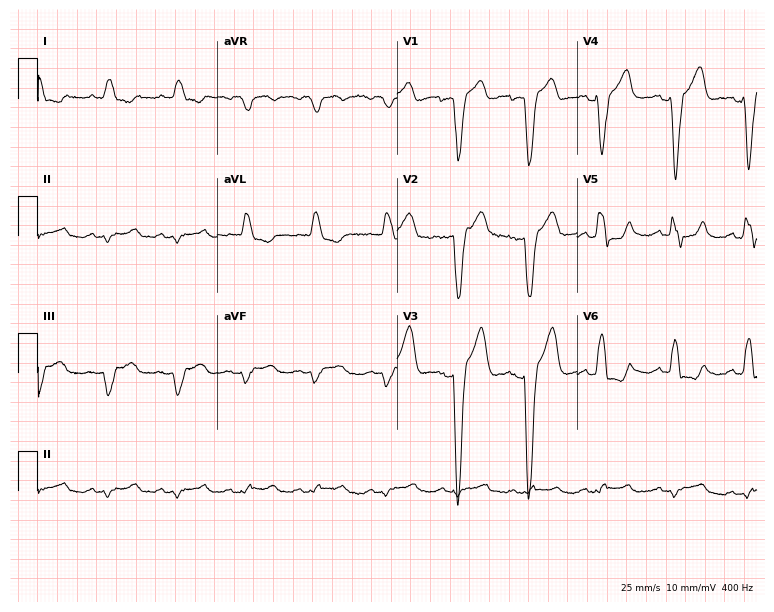
ECG (7.3-second recording at 400 Hz) — a 65-year-old woman. Screened for six findings — first-degree AV block, right bundle branch block, left bundle branch block, sinus bradycardia, atrial fibrillation, sinus tachycardia — none is recorded. Findings outside these six are not listed.